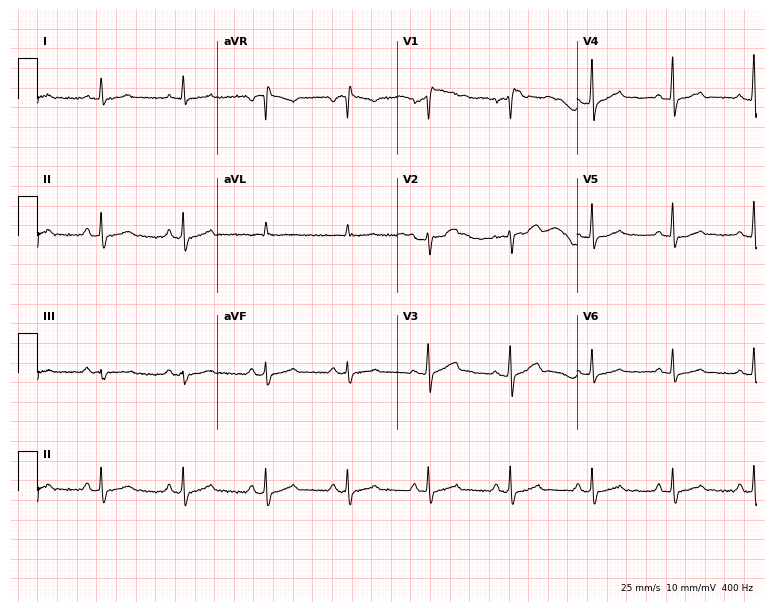
Electrocardiogram, a 57-year-old male. Overall reading on record: normal ECG.